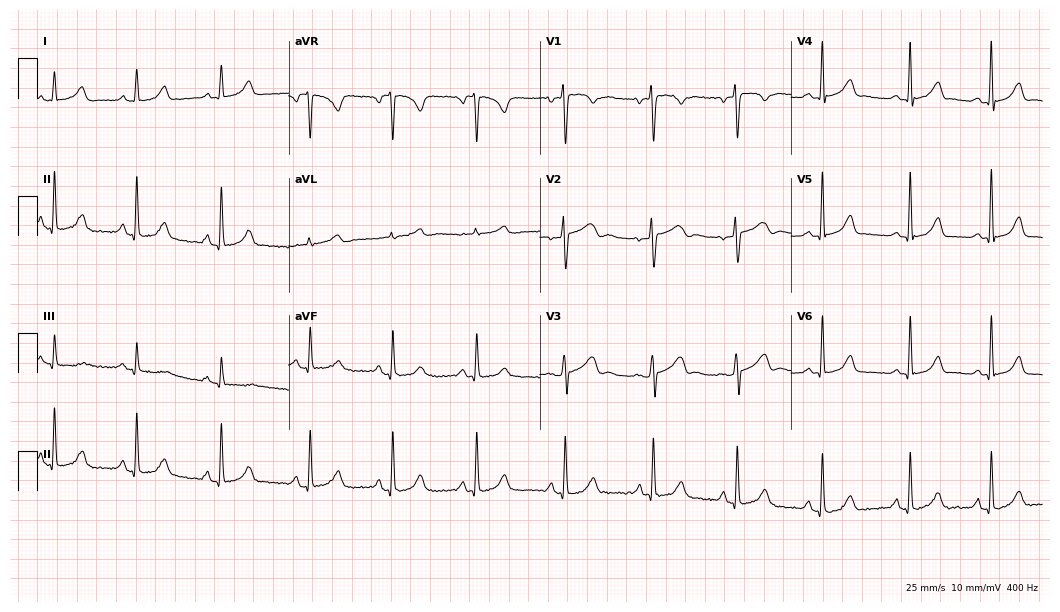
12-lead ECG from a female patient, 27 years old. No first-degree AV block, right bundle branch block (RBBB), left bundle branch block (LBBB), sinus bradycardia, atrial fibrillation (AF) or sinus tachycardia recorded for this tracing.